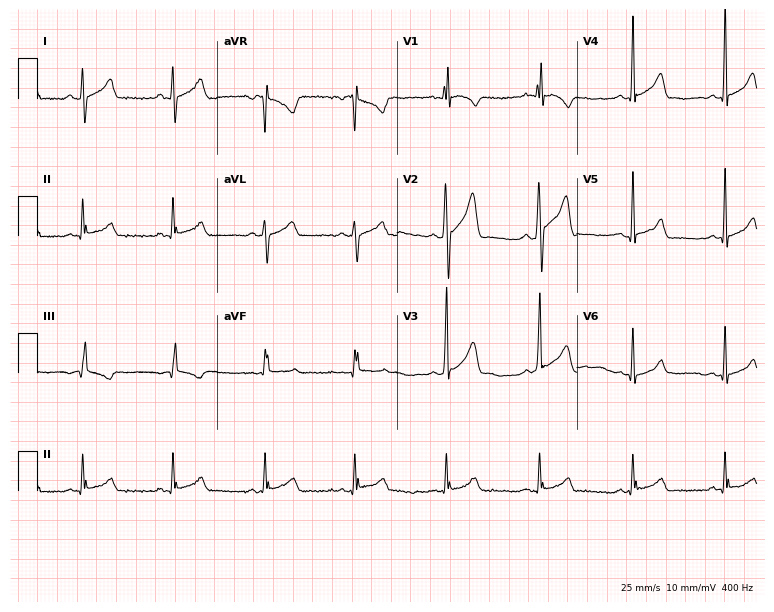
12-lead ECG from a 24-year-old male patient. No first-degree AV block, right bundle branch block, left bundle branch block, sinus bradycardia, atrial fibrillation or sinus tachycardia recorded for this tracing. Findings outside these six are not listed.